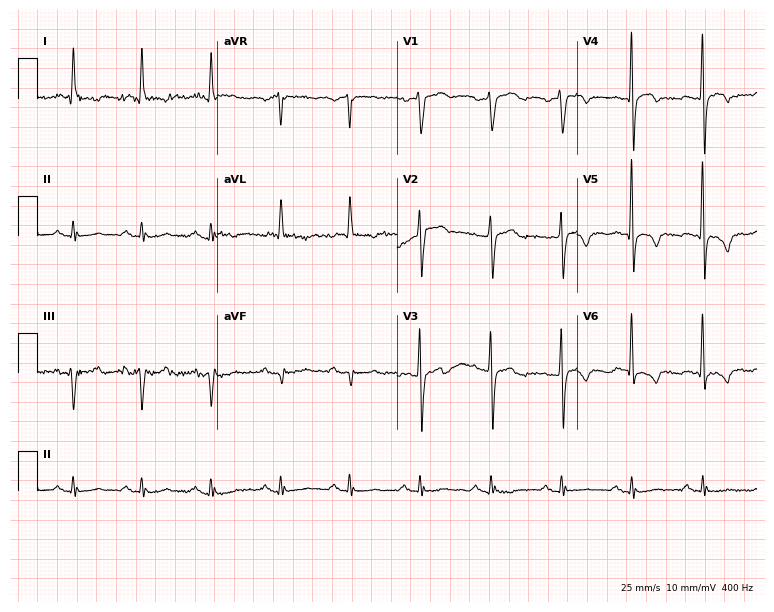
Standard 12-lead ECG recorded from a male patient, 79 years old (7.3-second recording at 400 Hz). None of these six findings is recorded: first-degree AV block, right bundle branch block, left bundle branch block, sinus bradycardia, atrial fibrillation, sinus tachycardia. Only these six findings were labelled.